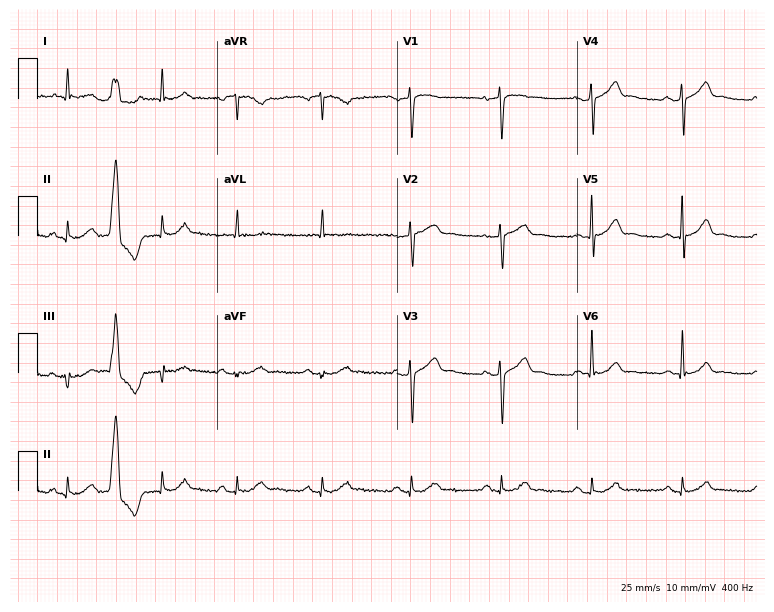
Standard 12-lead ECG recorded from a male, 70 years old. None of these six findings is recorded: first-degree AV block, right bundle branch block, left bundle branch block, sinus bradycardia, atrial fibrillation, sinus tachycardia.